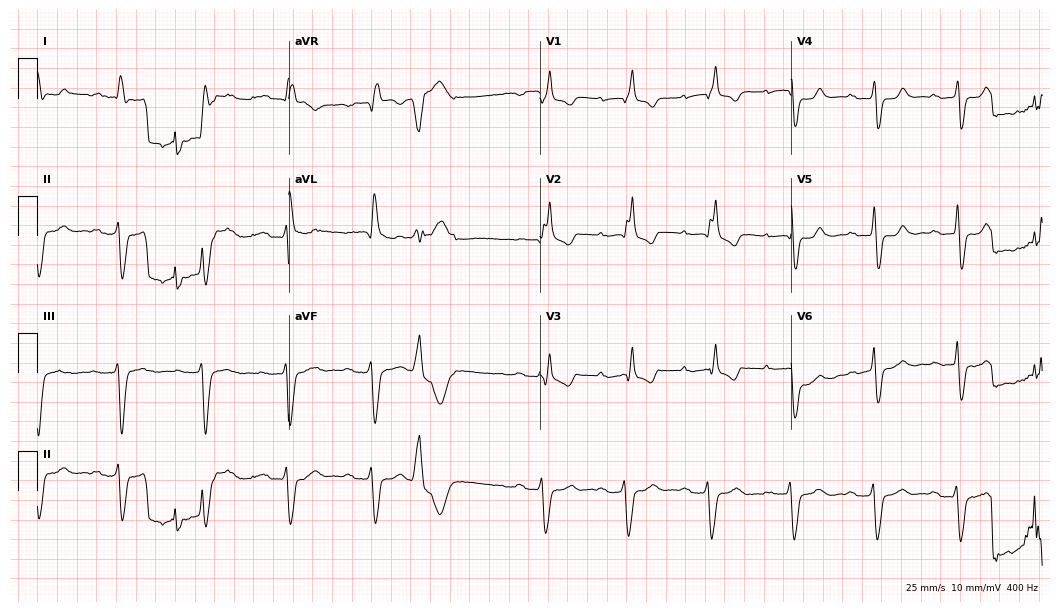
12-lead ECG from a male, 86 years old. Shows first-degree AV block, right bundle branch block.